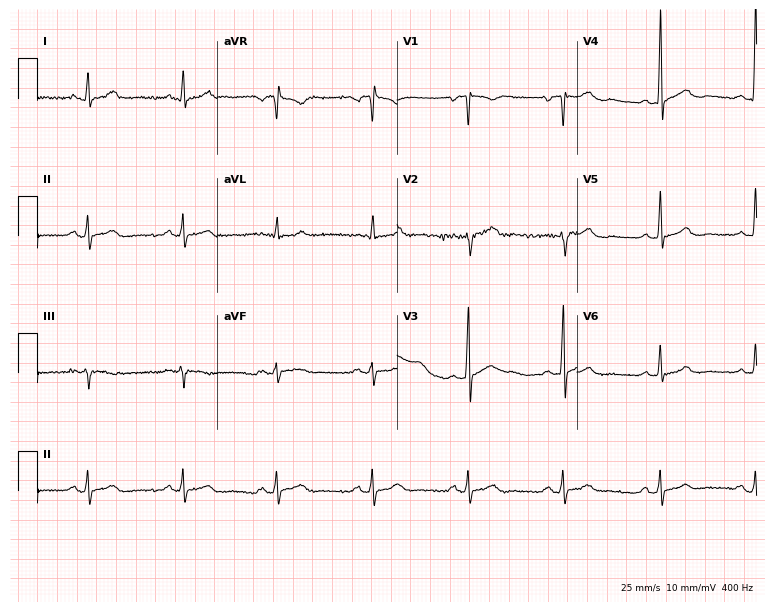
12-lead ECG (7.3-second recording at 400 Hz) from a 44-year-old male patient. Labelled as a normal ECG.